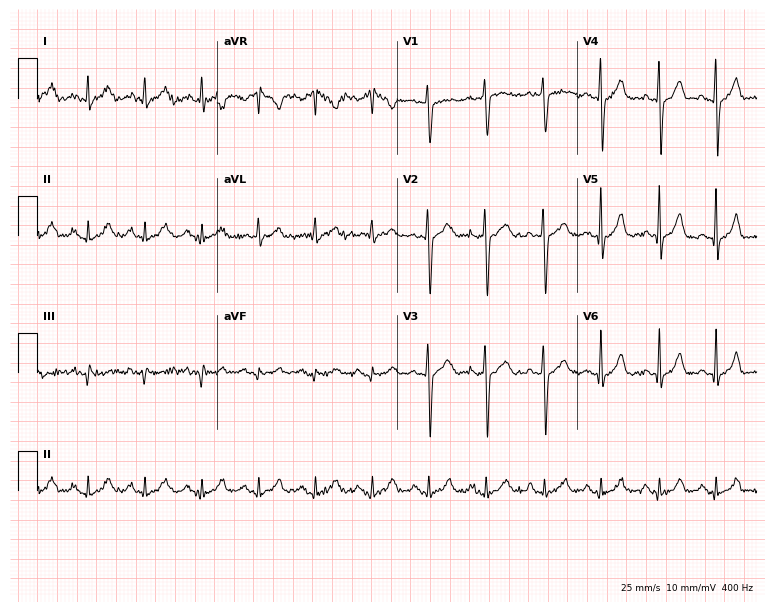
ECG — a male patient, 50 years old. Findings include sinus tachycardia (a sinus rate of 100 beats per minute or more).